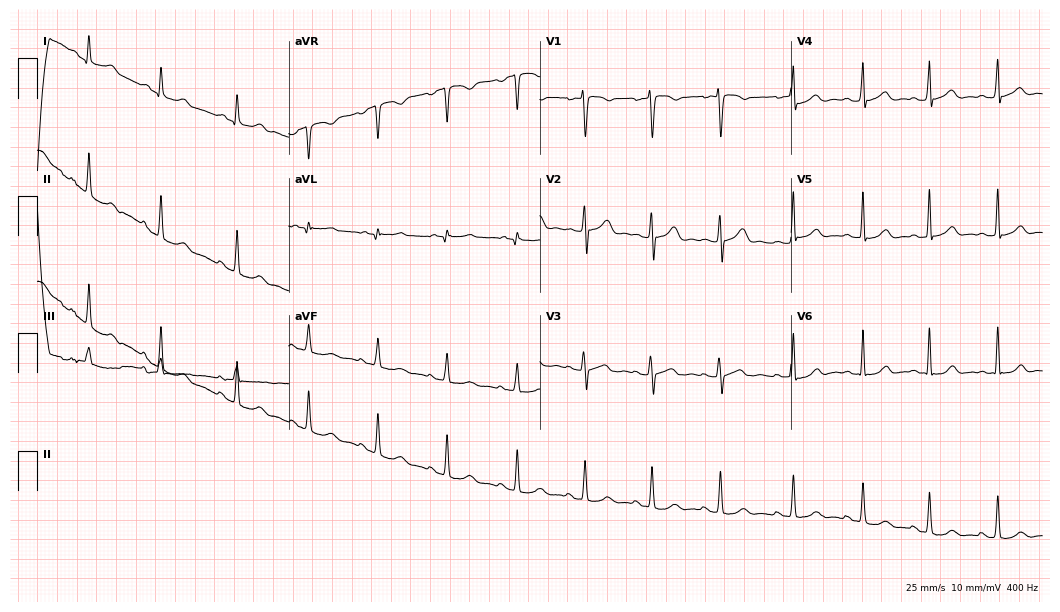
Standard 12-lead ECG recorded from a female patient, 21 years old. Read as a normal ECG.